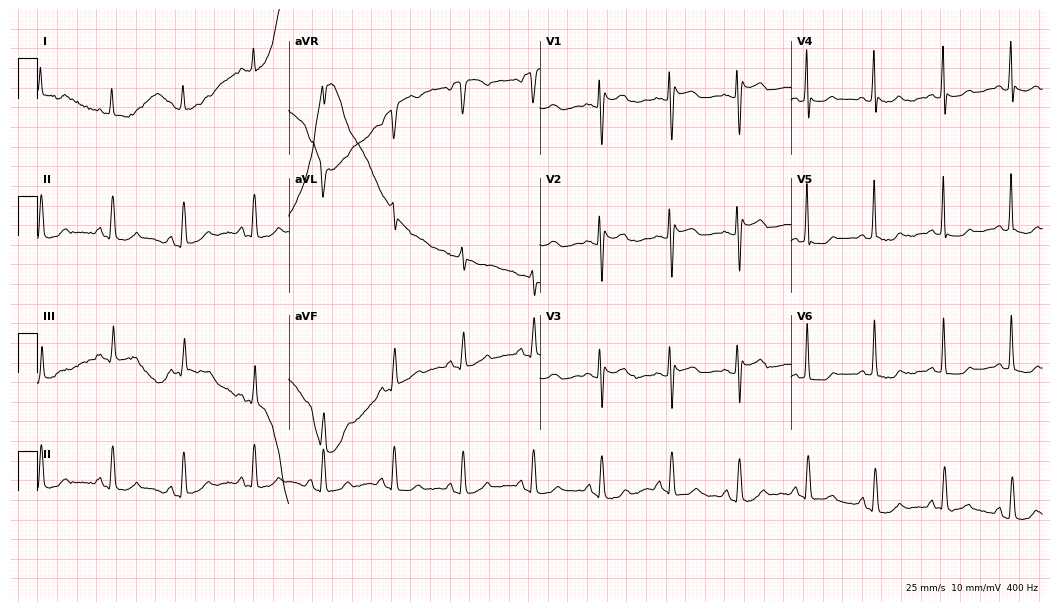
ECG — a female, 84 years old. Screened for six findings — first-degree AV block, right bundle branch block, left bundle branch block, sinus bradycardia, atrial fibrillation, sinus tachycardia — none is recorded.